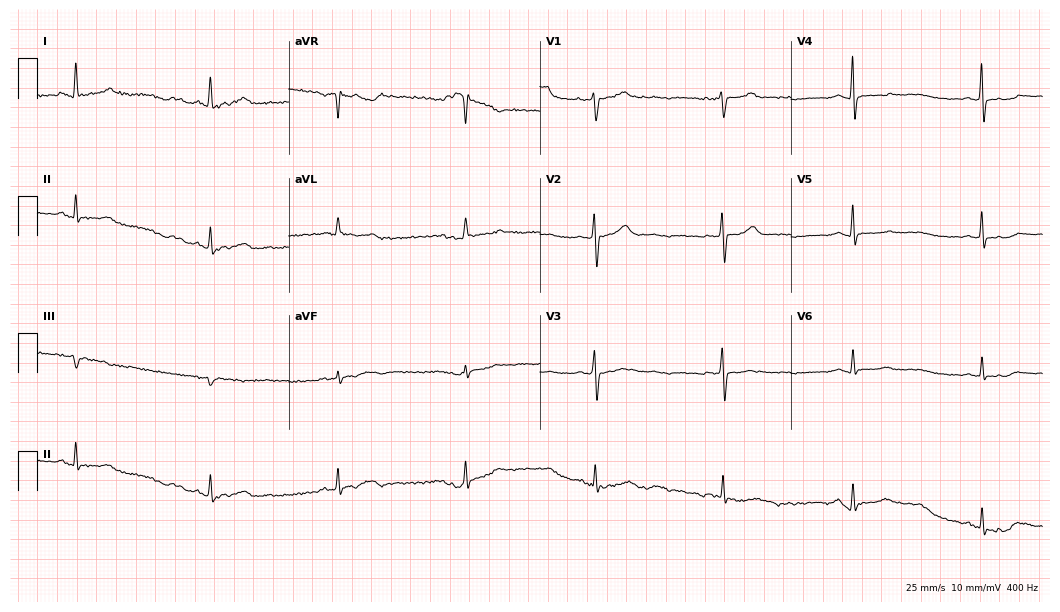
12-lead ECG (10.2-second recording at 400 Hz) from a female, 61 years old. Findings include sinus bradycardia (a sinus rate of 50 beats per minute or less).